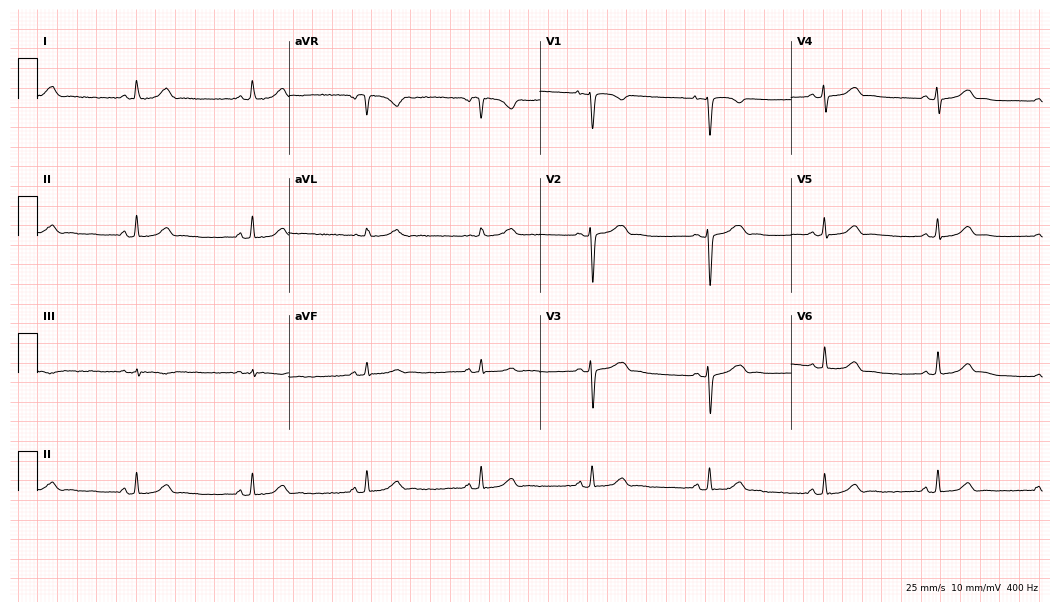
12-lead ECG (10.2-second recording at 400 Hz) from a female patient, 30 years old. Labelled as a normal ECG.